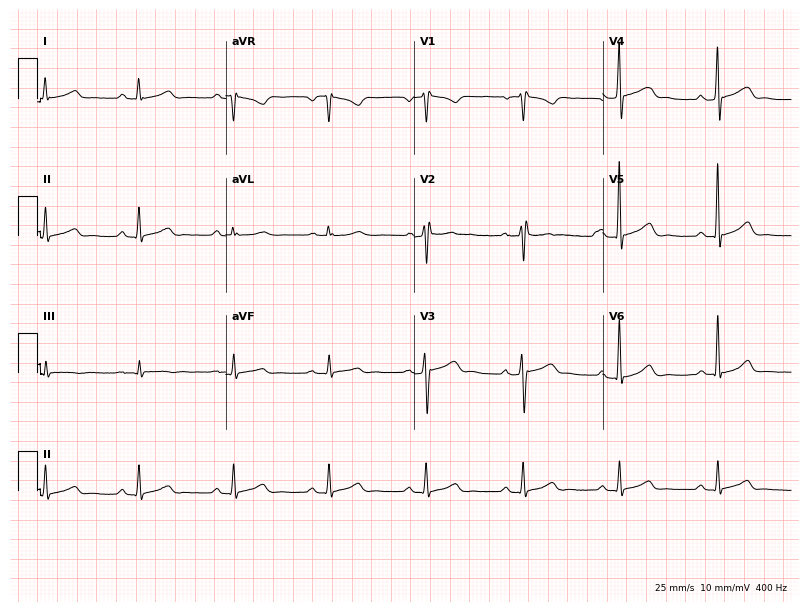
Resting 12-lead electrocardiogram (7.7-second recording at 400 Hz). Patient: a 56-year-old man. None of these six findings is recorded: first-degree AV block, right bundle branch block, left bundle branch block, sinus bradycardia, atrial fibrillation, sinus tachycardia.